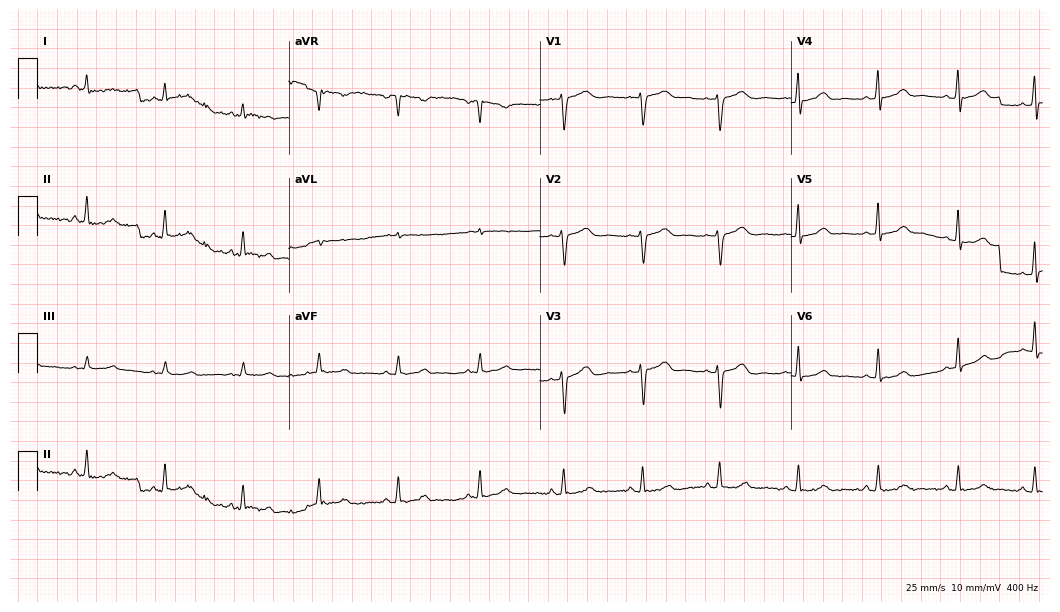
12-lead ECG from a female, 45 years old. Recorded interpretation: within normal limits.